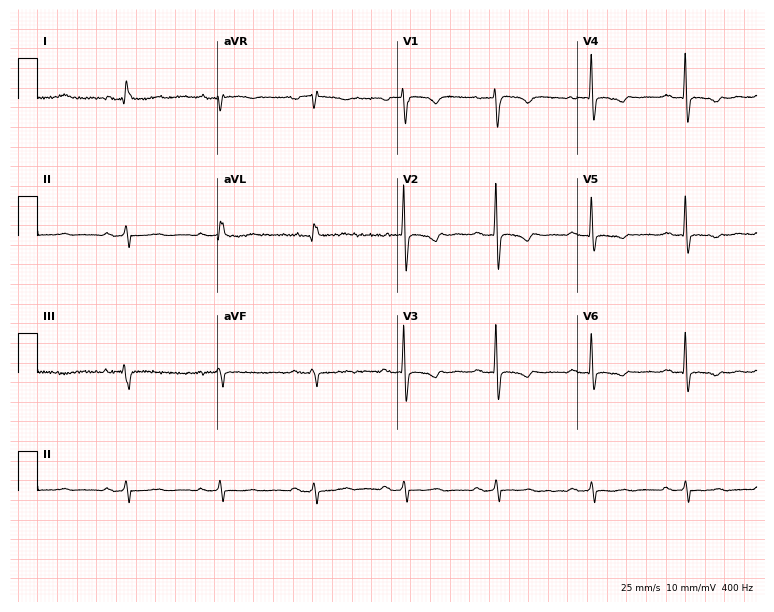
ECG (7.3-second recording at 400 Hz) — a 61-year-old woman. Screened for six findings — first-degree AV block, right bundle branch block, left bundle branch block, sinus bradycardia, atrial fibrillation, sinus tachycardia — none is recorded. Only these six findings were labelled.